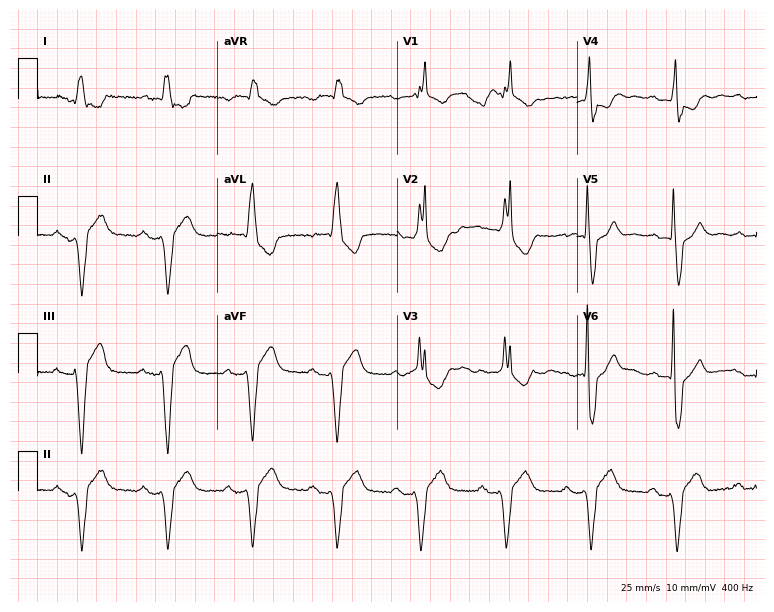
12-lead ECG (7.3-second recording at 400 Hz) from a man, 80 years old. Findings include first-degree AV block, right bundle branch block.